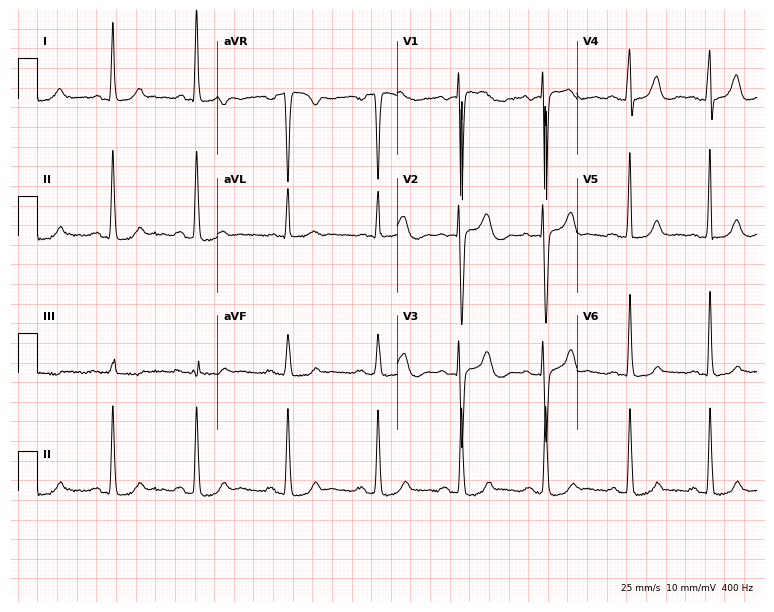
12-lead ECG from a 49-year-old female (7.3-second recording at 400 Hz). No first-degree AV block, right bundle branch block (RBBB), left bundle branch block (LBBB), sinus bradycardia, atrial fibrillation (AF) or sinus tachycardia recorded for this tracing. Only these six findings were labelled.